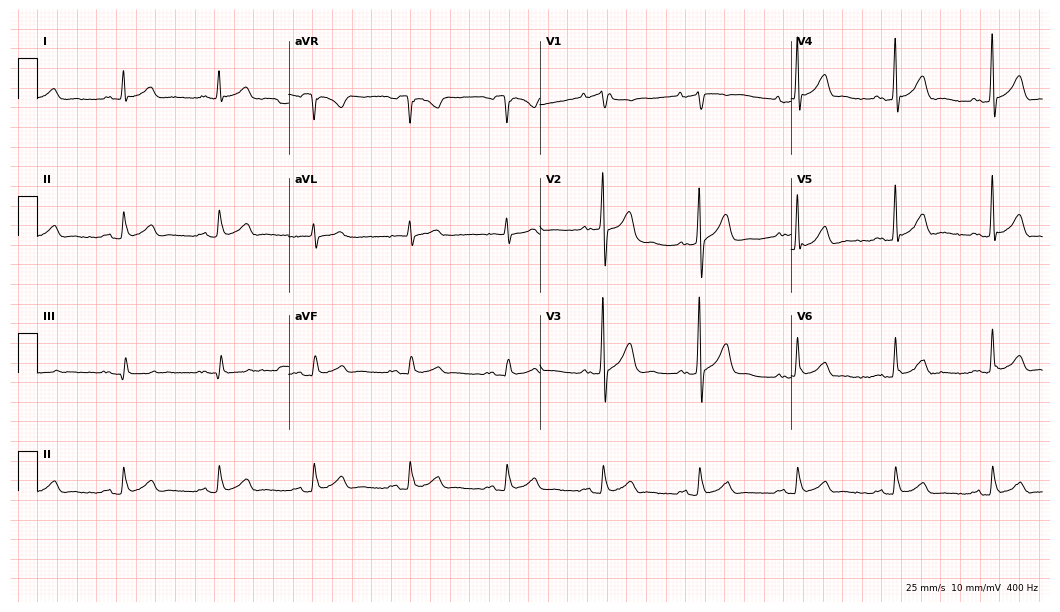
ECG — a man, 68 years old. Labelled as a normal ECG.